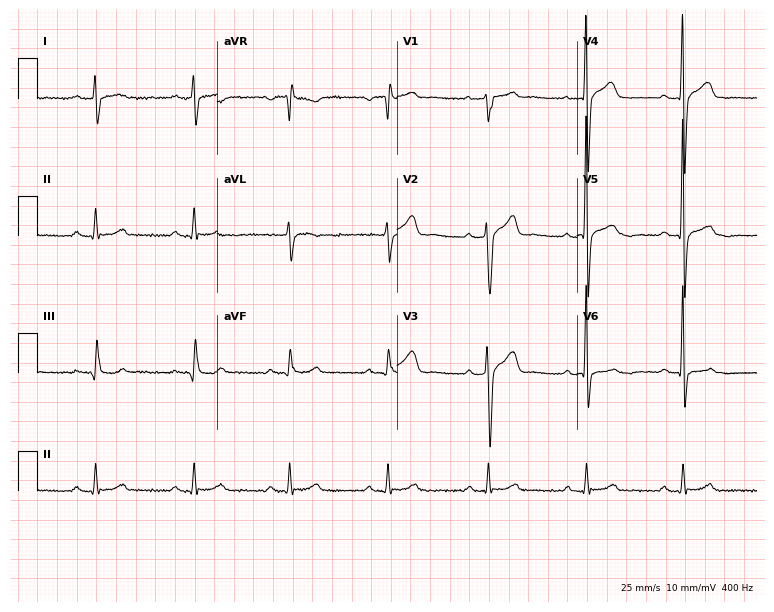
Standard 12-lead ECG recorded from a male patient, 58 years old (7.3-second recording at 400 Hz). None of these six findings is recorded: first-degree AV block, right bundle branch block, left bundle branch block, sinus bradycardia, atrial fibrillation, sinus tachycardia. Other findings, if any, are not listed.